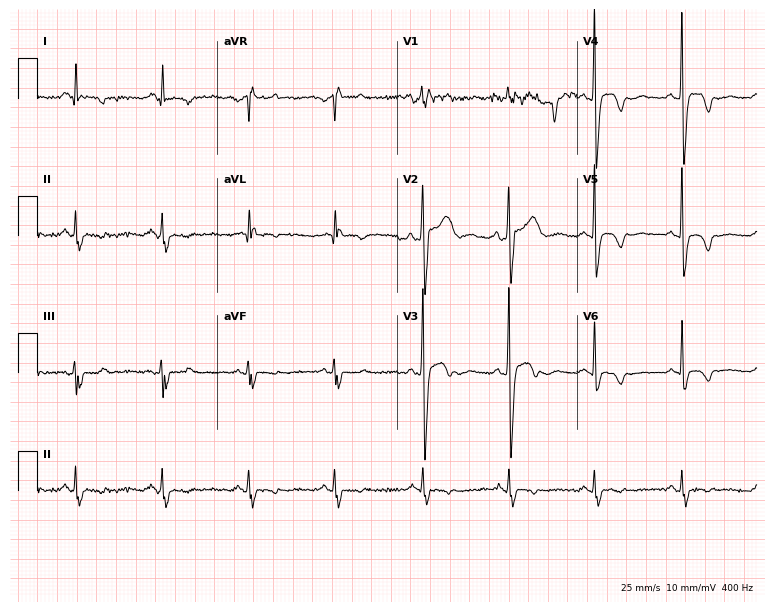
ECG (7.3-second recording at 400 Hz) — a man, 35 years old. Screened for six findings — first-degree AV block, right bundle branch block, left bundle branch block, sinus bradycardia, atrial fibrillation, sinus tachycardia — none is recorded.